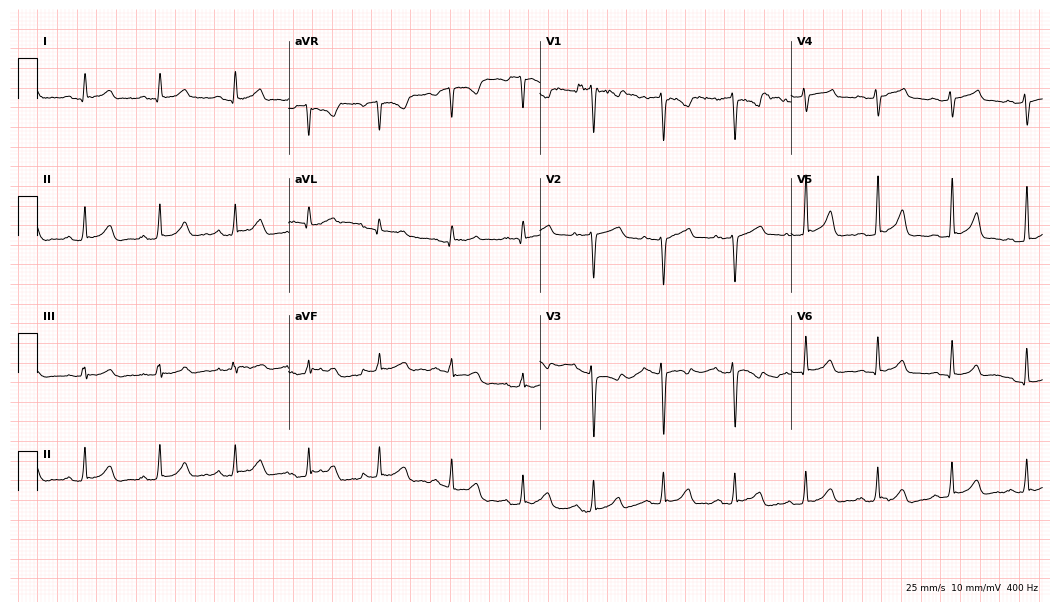
Resting 12-lead electrocardiogram. Patient: a female, 31 years old. Read as a normal ECG.